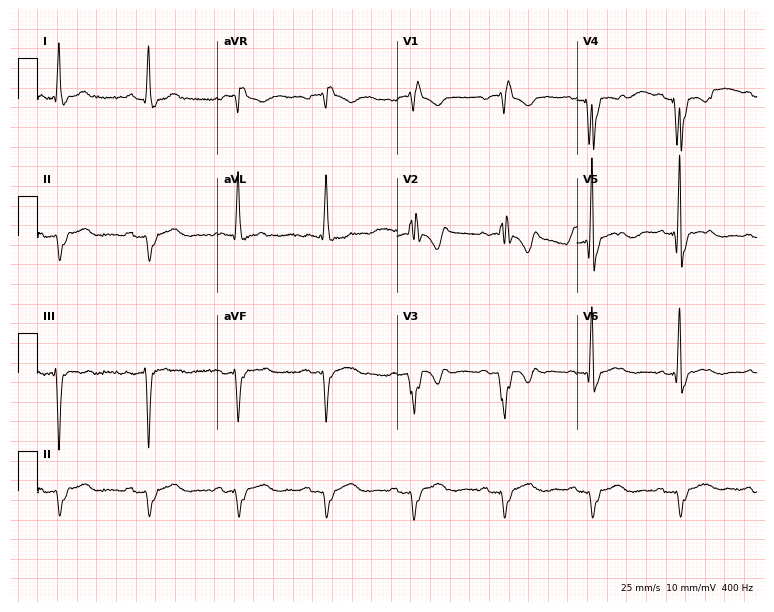
12-lead ECG from a male, 81 years old. Screened for six findings — first-degree AV block, right bundle branch block, left bundle branch block, sinus bradycardia, atrial fibrillation, sinus tachycardia — none is recorded.